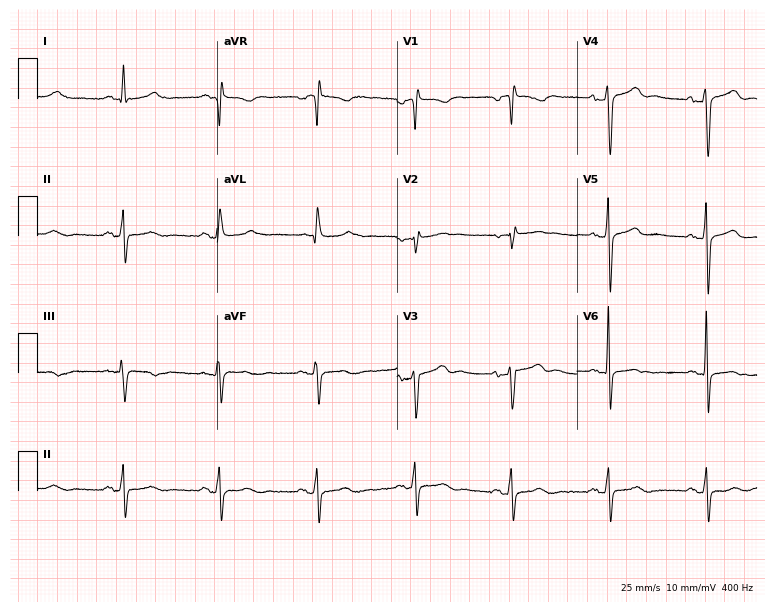
Standard 12-lead ECG recorded from a 62-year-old female patient (7.3-second recording at 400 Hz). None of these six findings is recorded: first-degree AV block, right bundle branch block, left bundle branch block, sinus bradycardia, atrial fibrillation, sinus tachycardia.